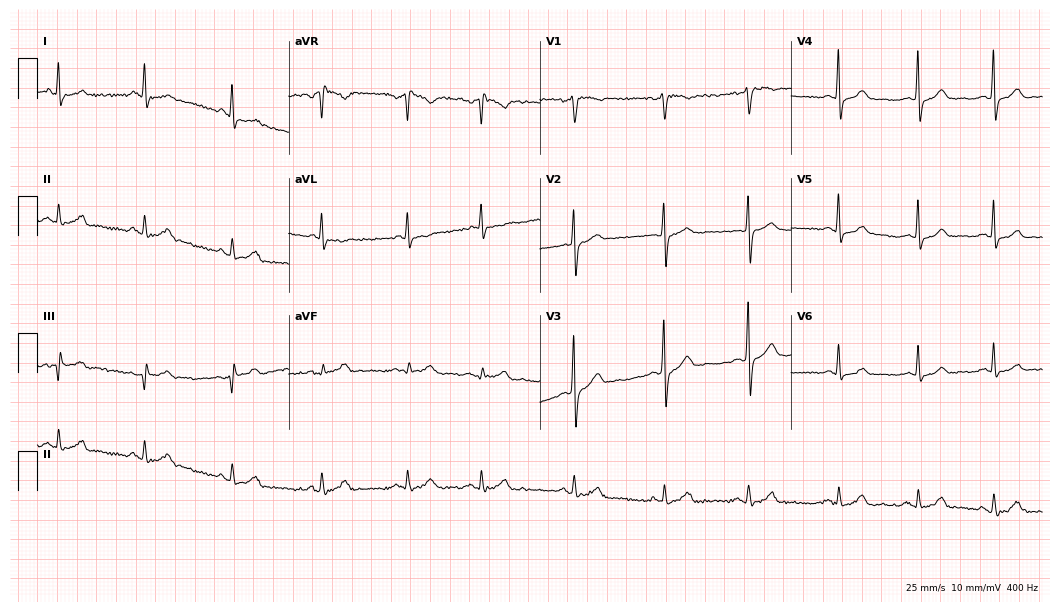
12-lead ECG from a male patient, 24 years old. Recorded interpretation: within normal limits.